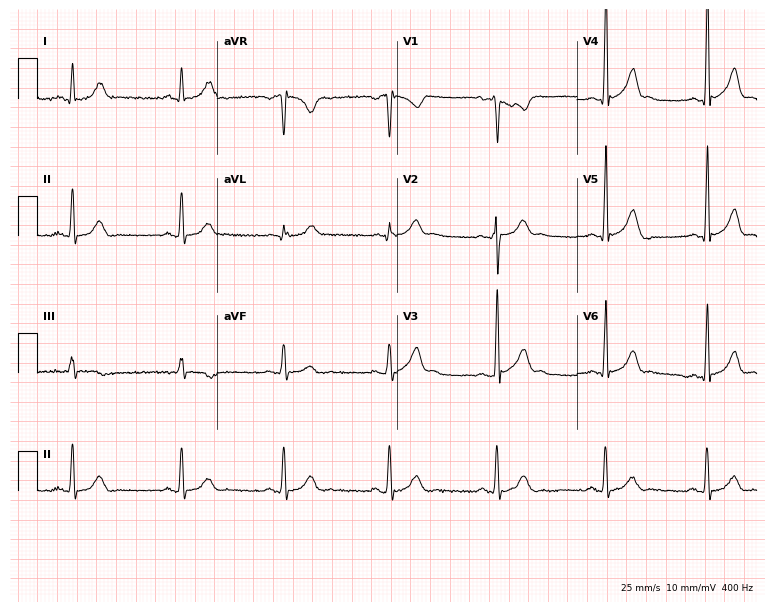
12-lead ECG from a 25-year-old male. Recorded interpretation: within normal limits.